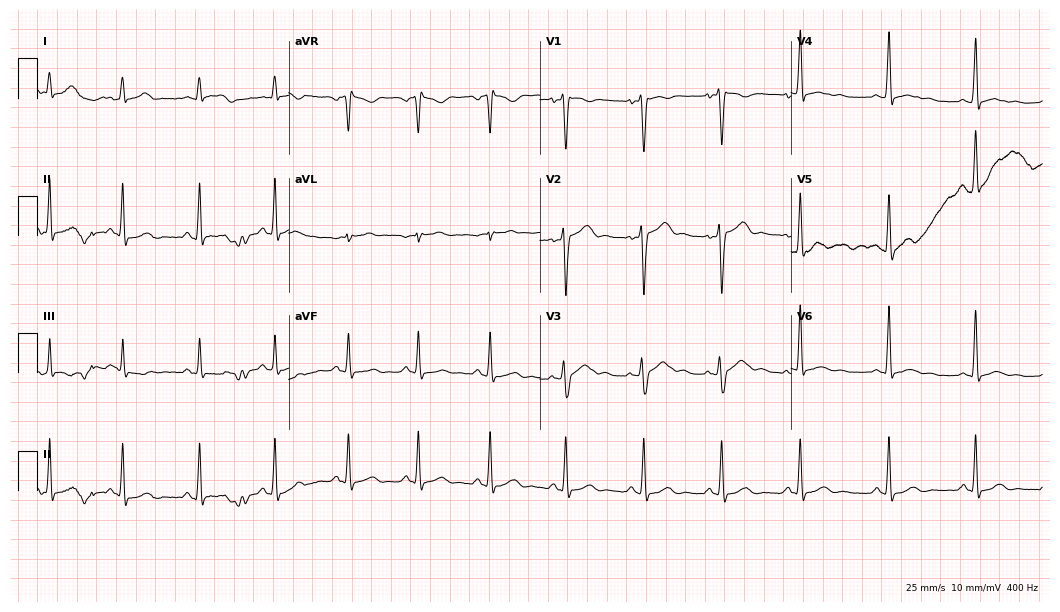
Resting 12-lead electrocardiogram. Patient: a man, 27 years old. None of these six findings is recorded: first-degree AV block, right bundle branch block, left bundle branch block, sinus bradycardia, atrial fibrillation, sinus tachycardia.